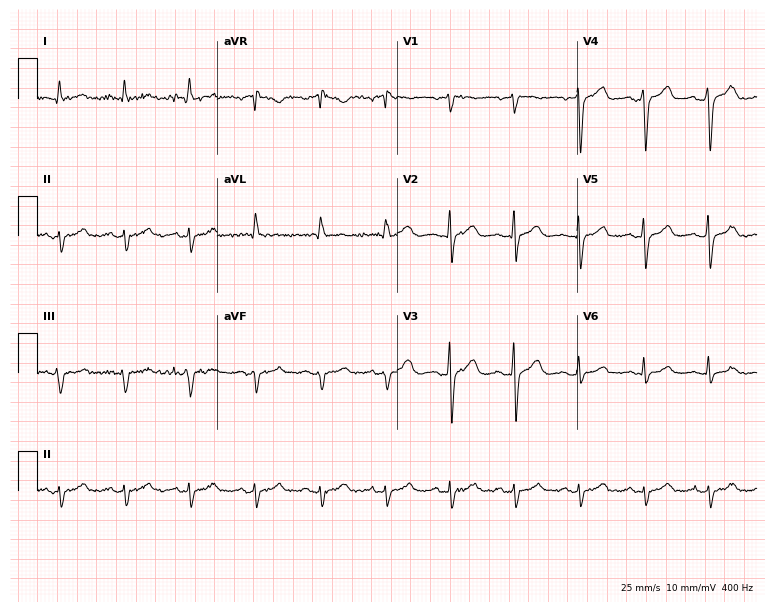
Electrocardiogram, a male patient, 63 years old. Of the six screened findings (first-degree AV block, right bundle branch block, left bundle branch block, sinus bradycardia, atrial fibrillation, sinus tachycardia), none is recorded.